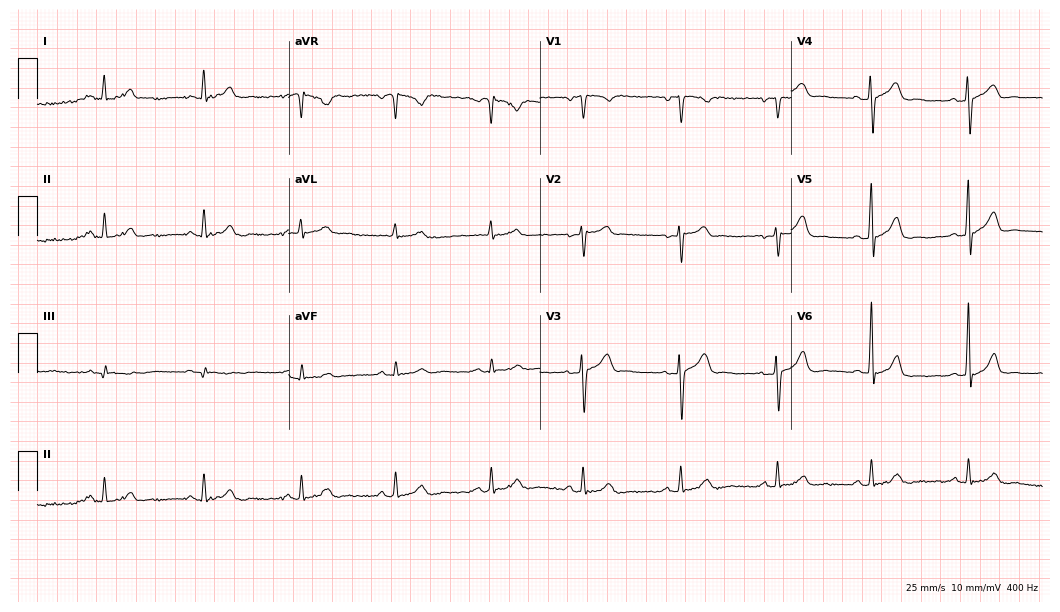
ECG (10.2-second recording at 400 Hz) — a male, 47 years old. Labelled as a normal ECG.